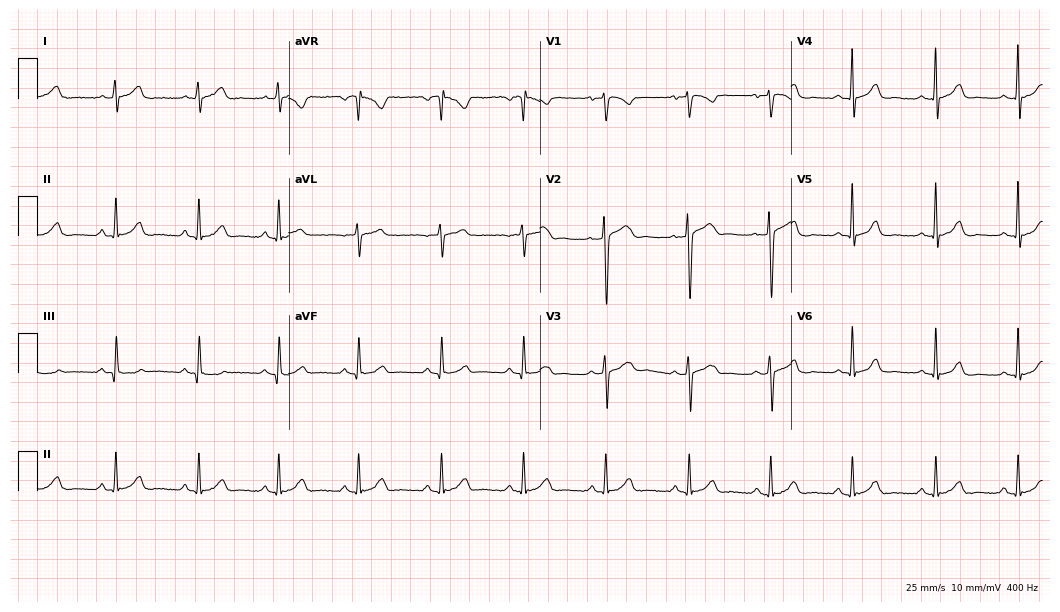
Standard 12-lead ECG recorded from a 39-year-old female. Read as a normal ECG.